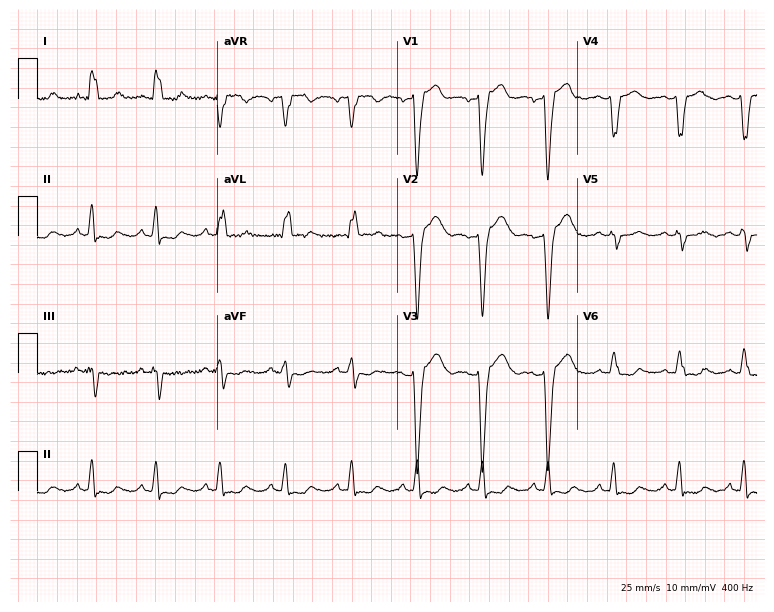
12-lead ECG from a female patient, 47 years old. Findings include left bundle branch block (LBBB).